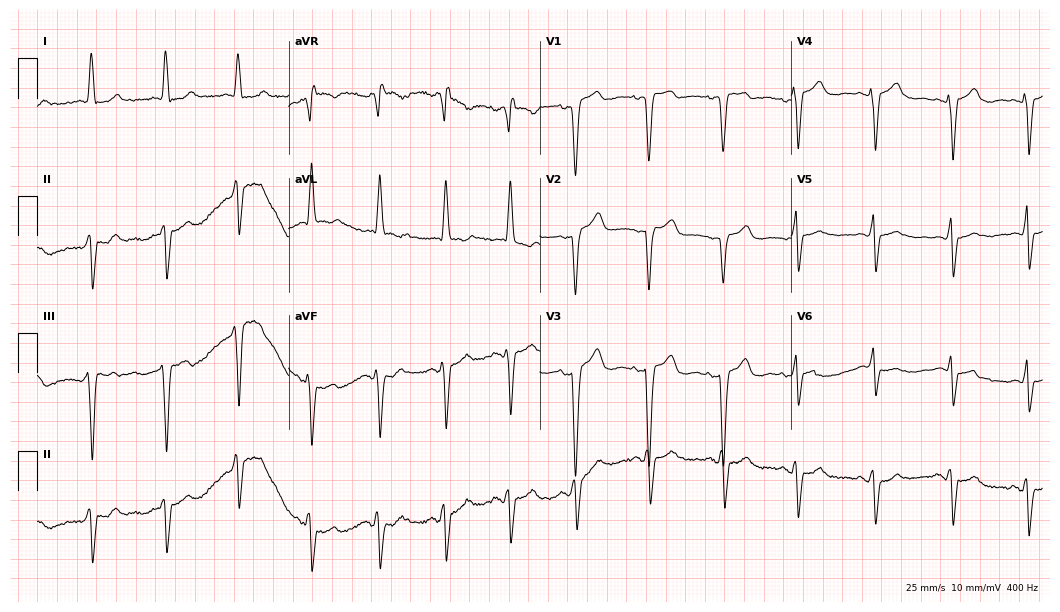
12-lead ECG from a female, 79 years old. Shows left bundle branch block (LBBB).